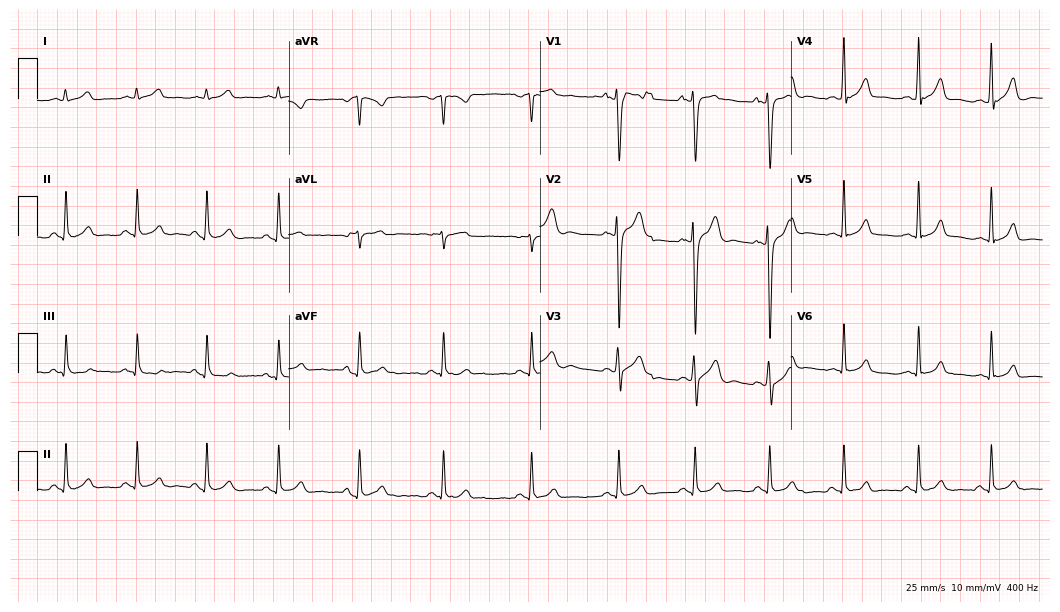
ECG (10.2-second recording at 400 Hz) — a 20-year-old male. Screened for six findings — first-degree AV block, right bundle branch block, left bundle branch block, sinus bradycardia, atrial fibrillation, sinus tachycardia — none is recorded. Other findings, if any, are not listed.